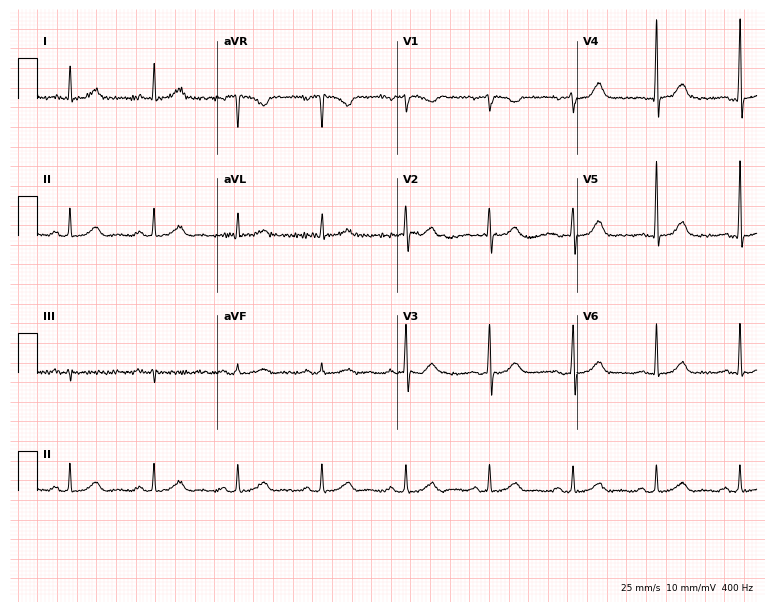
12-lead ECG from a man, 63 years old. Recorded interpretation: within normal limits.